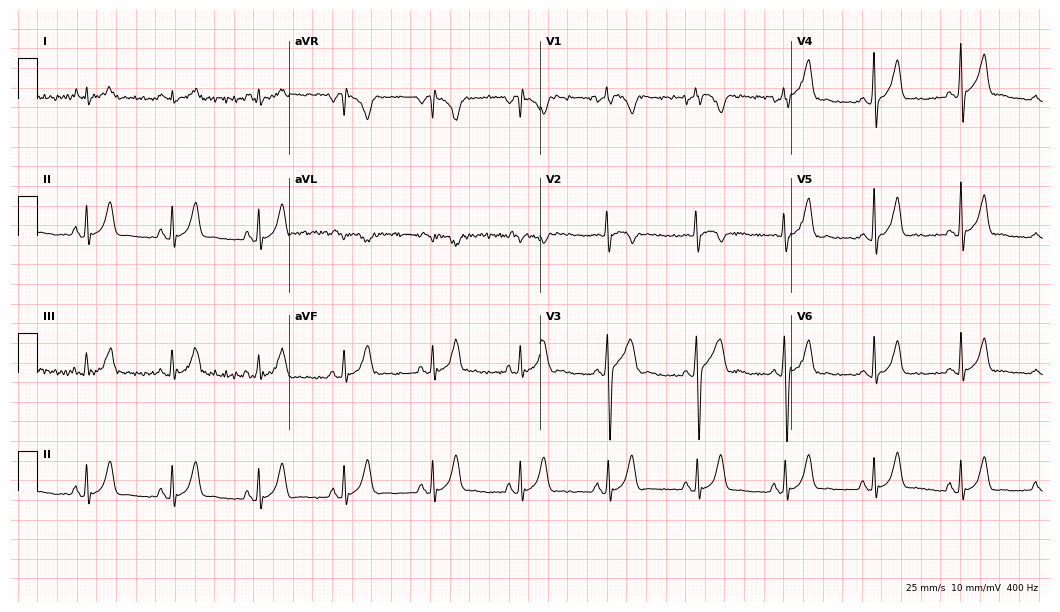
Electrocardiogram (10.2-second recording at 400 Hz), a 41-year-old man. Overall reading on record: normal ECG.